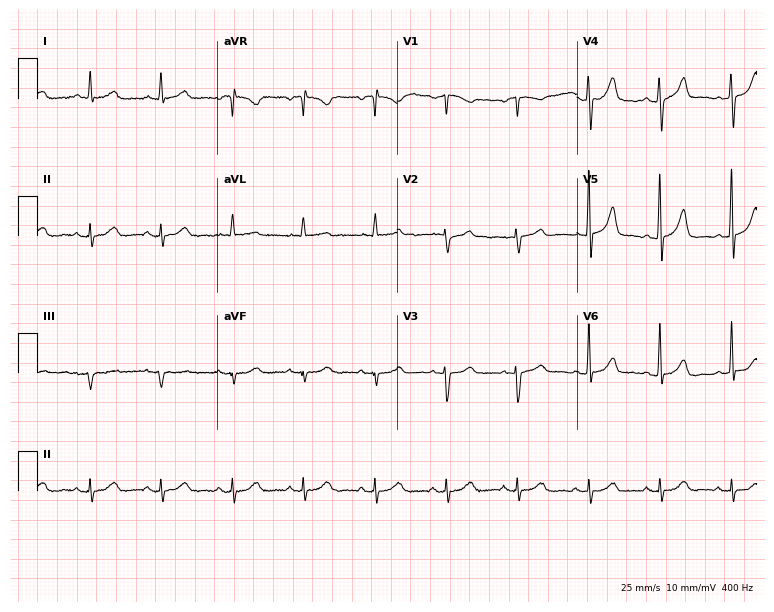
12-lead ECG (7.3-second recording at 400 Hz) from a female, 79 years old. Screened for six findings — first-degree AV block, right bundle branch block, left bundle branch block, sinus bradycardia, atrial fibrillation, sinus tachycardia — none is recorded. Findings outside these six are not listed.